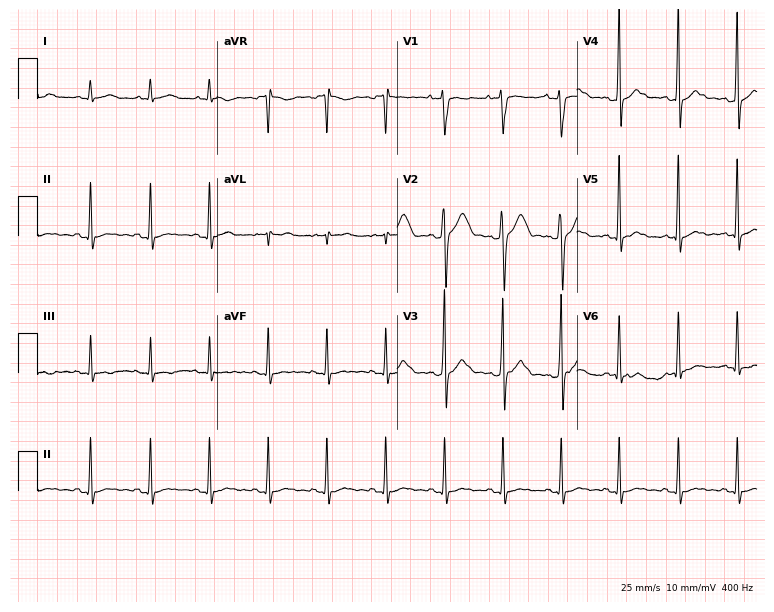
12-lead ECG from a 30-year-old male patient (7.3-second recording at 400 Hz). No first-degree AV block, right bundle branch block (RBBB), left bundle branch block (LBBB), sinus bradycardia, atrial fibrillation (AF) or sinus tachycardia recorded for this tracing.